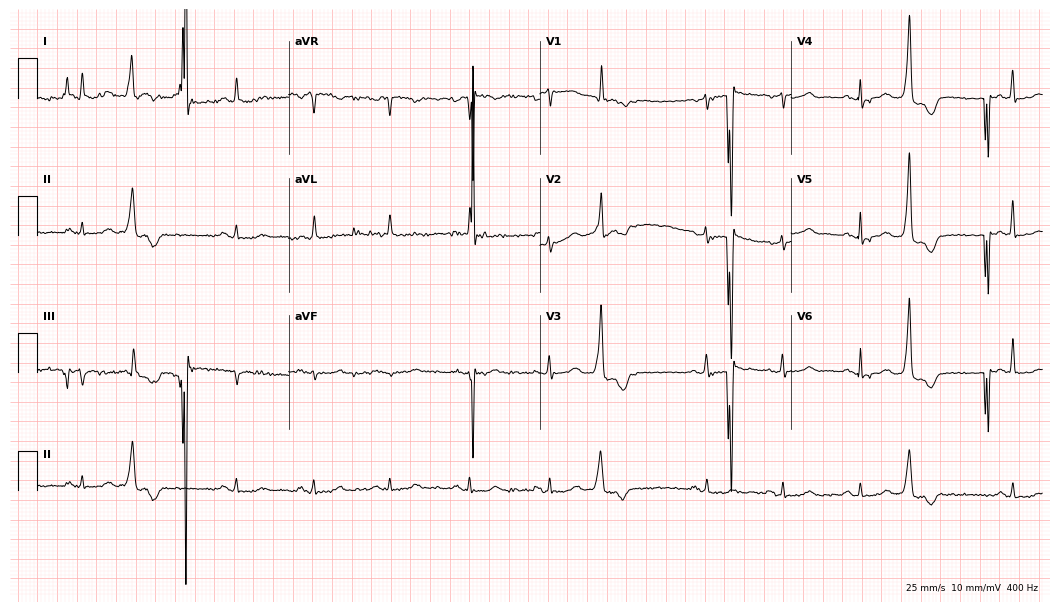
12-lead ECG from a 63-year-old female. No first-degree AV block, right bundle branch block, left bundle branch block, sinus bradycardia, atrial fibrillation or sinus tachycardia recorded for this tracing. Other findings, if any, are not listed.